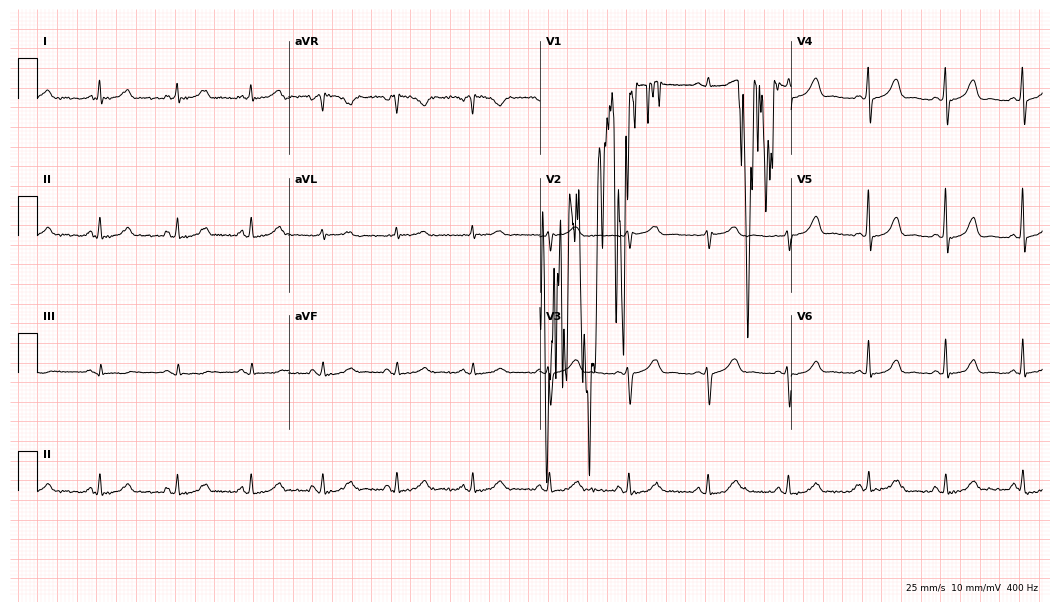
12-lead ECG from a 60-year-old woman (10.2-second recording at 400 Hz). No first-degree AV block, right bundle branch block, left bundle branch block, sinus bradycardia, atrial fibrillation or sinus tachycardia recorded for this tracing.